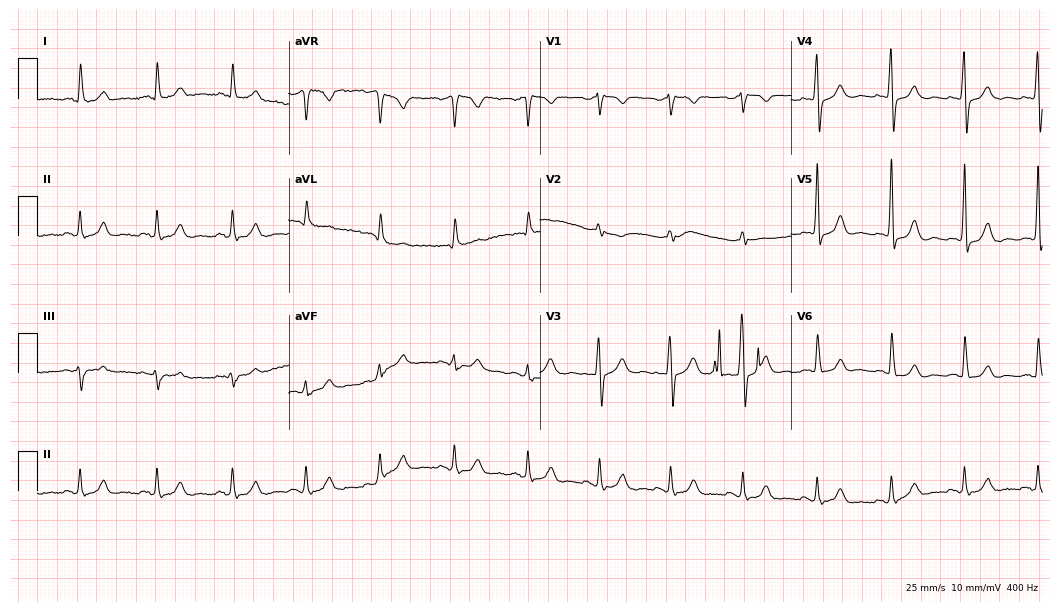
Resting 12-lead electrocardiogram (10.2-second recording at 400 Hz). Patient: a female, 64 years old. Read as a normal ECG.